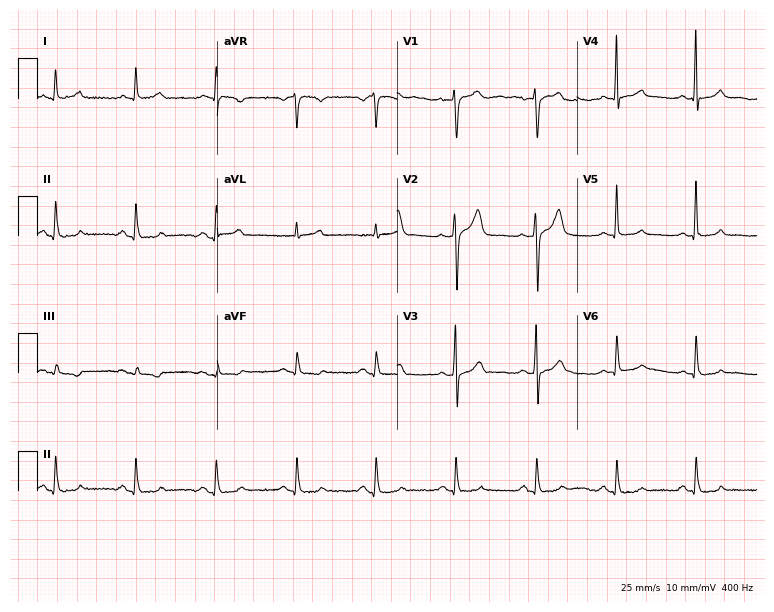
Standard 12-lead ECG recorded from a male, 51 years old (7.3-second recording at 400 Hz). Read as a normal ECG.